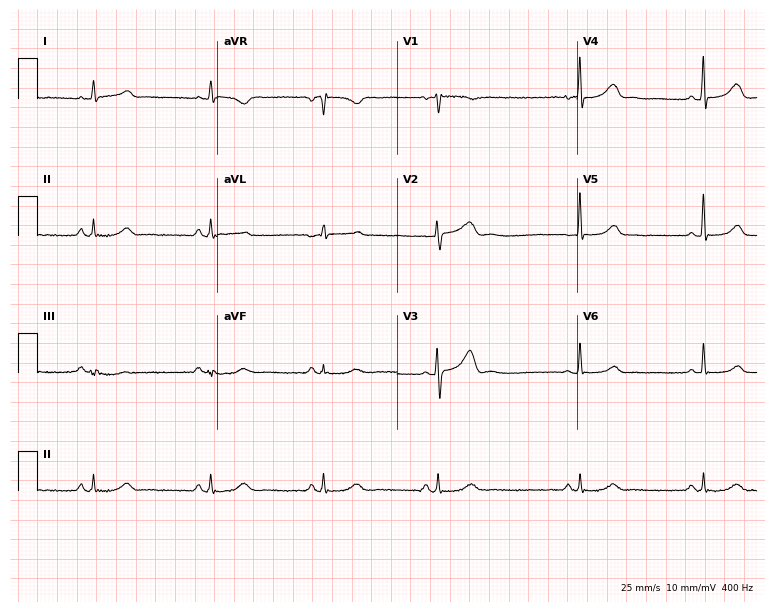
ECG — a woman, 43 years old. Screened for six findings — first-degree AV block, right bundle branch block (RBBB), left bundle branch block (LBBB), sinus bradycardia, atrial fibrillation (AF), sinus tachycardia — none is recorded.